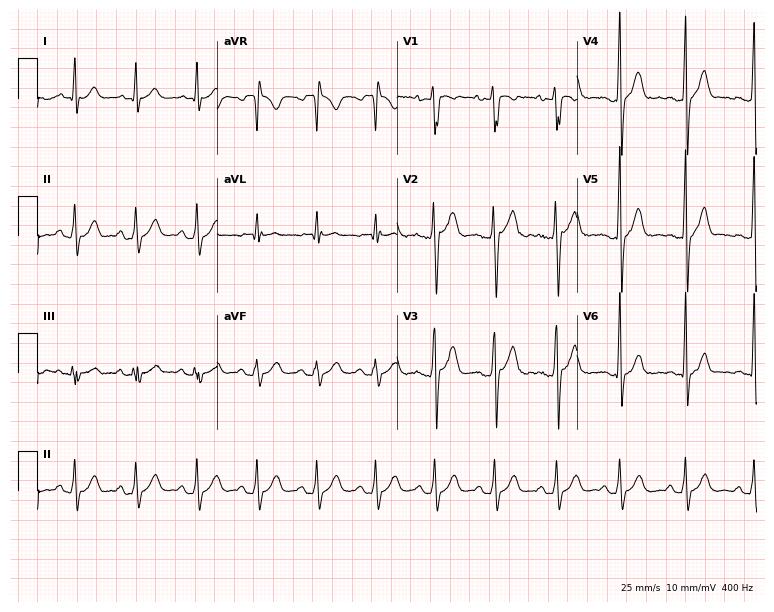
12-lead ECG (7.3-second recording at 400 Hz) from a male, 19 years old. Screened for six findings — first-degree AV block, right bundle branch block, left bundle branch block, sinus bradycardia, atrial fibrillation, sinus tachycardia — none is recorded. Findings outside these six are not listed.